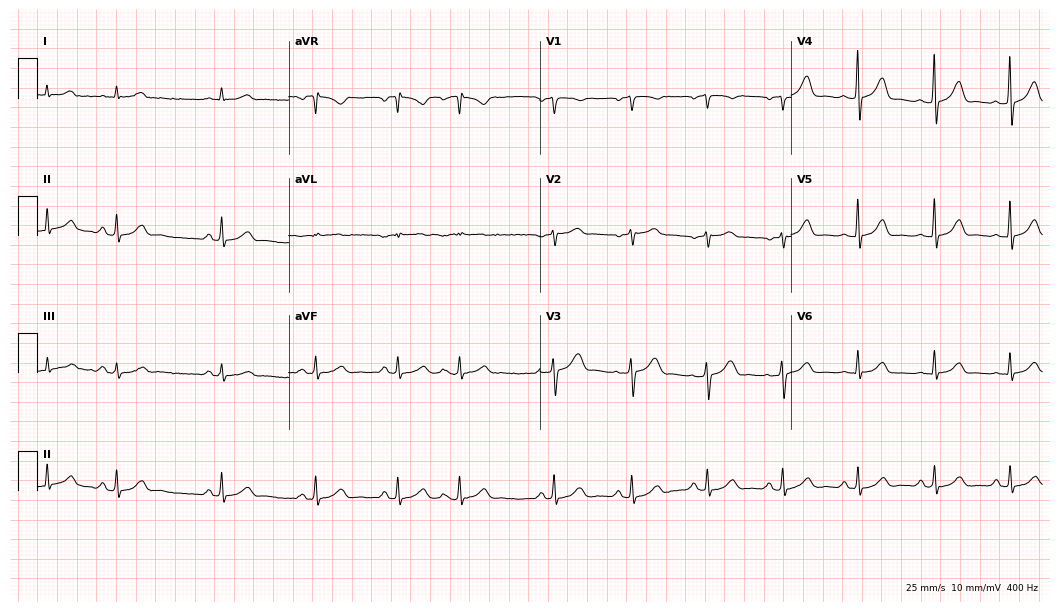
12-lead ECG from a 62-year-old male patient. Labelled as a normal ECG.